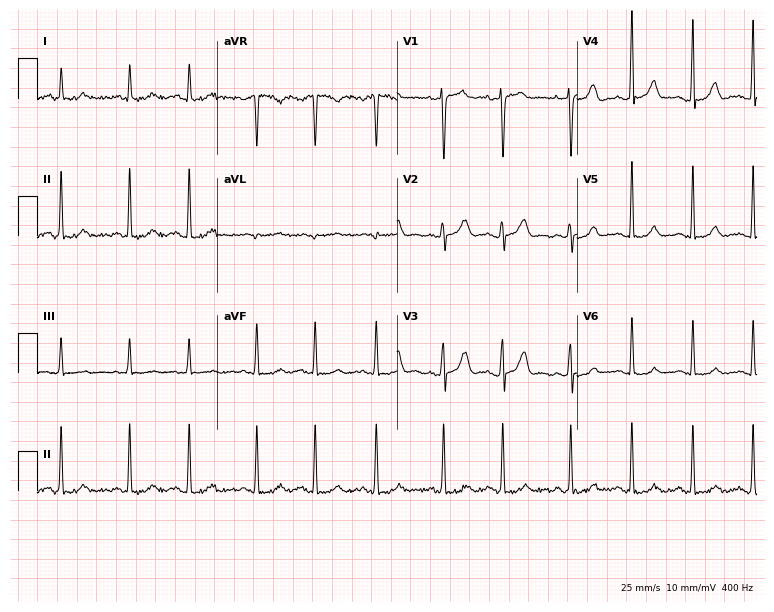
12-lead ECG from a 31-year-old female (7.3-second recording at 400 Hz). No first-degree AV block, right bundle branch block (RBBB), left bundle branch block (LBBB), sinus bradycardia, atrial fibrillation (AF) or sinus tachycardia recorded for this tracing.